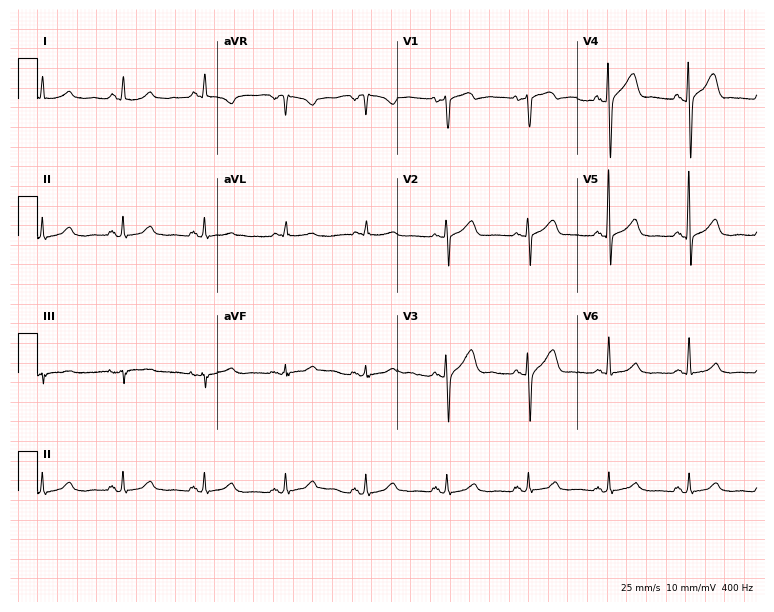
Standard 12-lead ECG recorded from a 60-year-old man (7.3-second recording at 400 Hz). Read as a normal ECG.